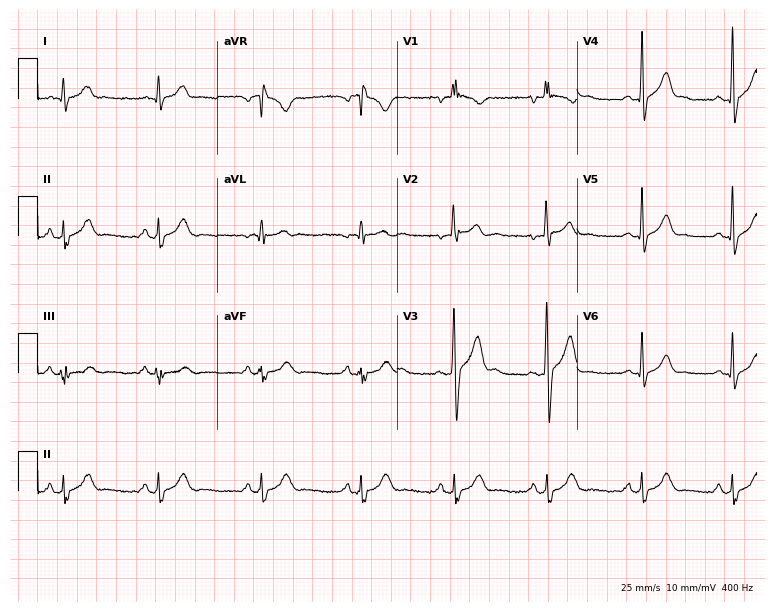
Electrocardiogram (7.3-second recording at 400 Hz), a 21-year-old woman. Of the six screened findings (first-degree AV block, right bundle branch block, left bundle branch block, sinus bradycardia, atrial fibrillation, sinus tachycardia), none is recorded.